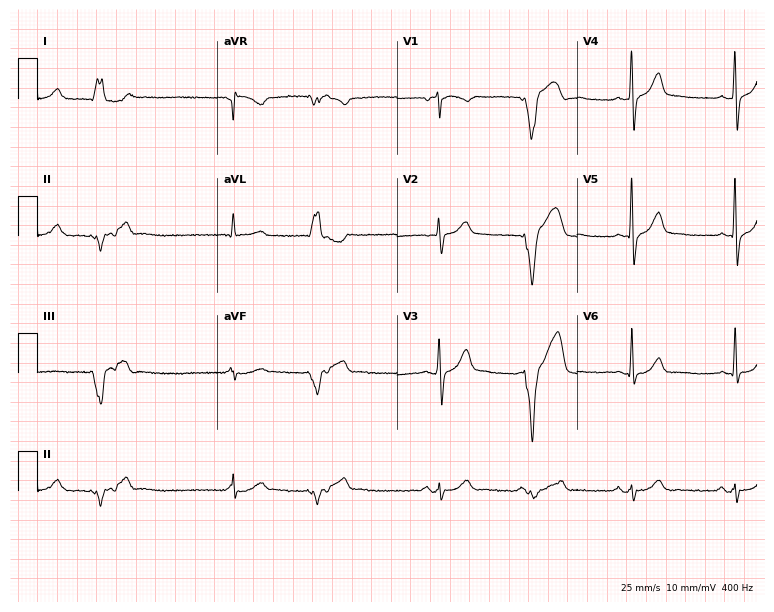
Resting 12-lead electrocardiogram (7.3-second recording at 400 Hz). Patient: a man, 68 years old. Read as a normal ECG.